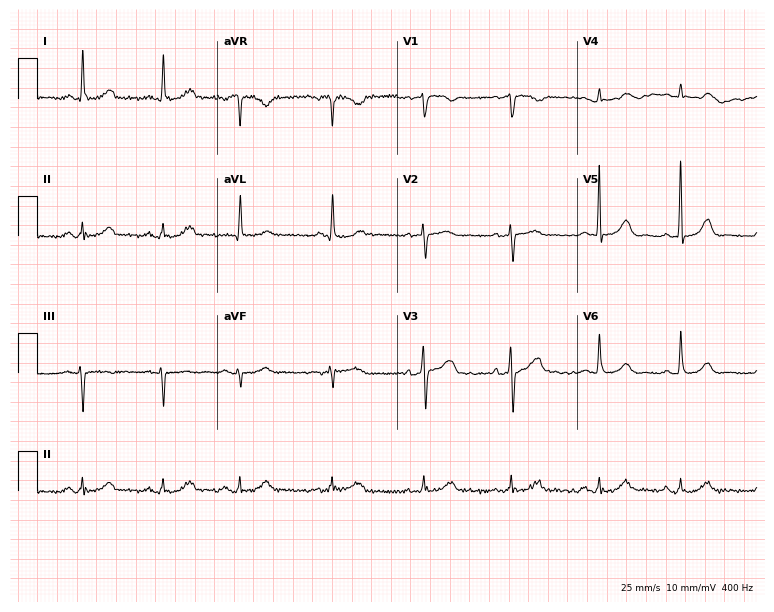
12-lead ECG from a 74-year-old male (7.3-second recording at 400 Hz). Recorded interpretation: within normal limits.